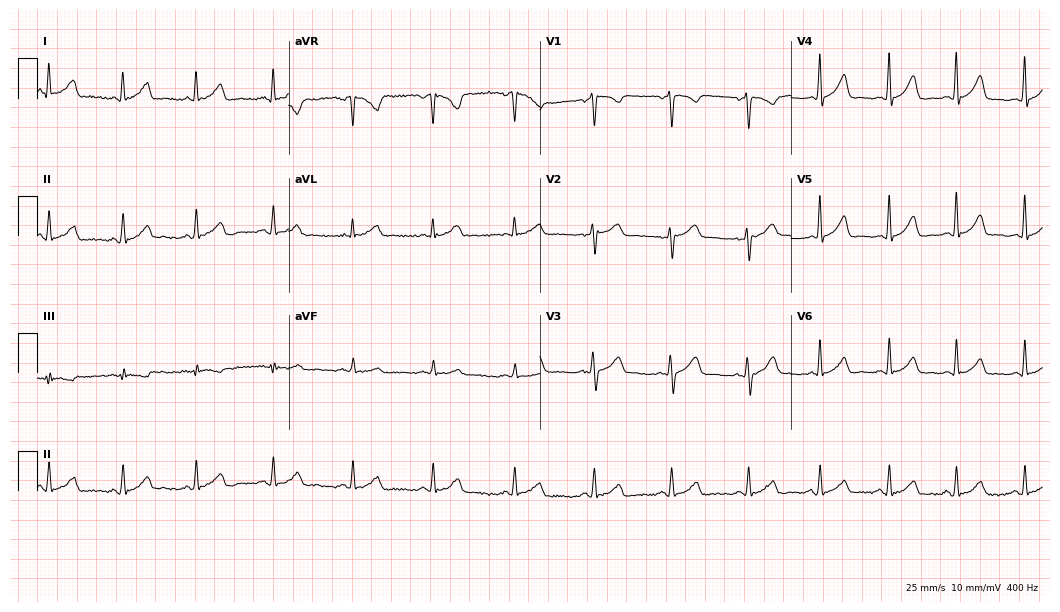
12-lead ECG from a female patient, 41 years old (10.2-second recording at 400 Hz). Recorded interpretation: within normal limits.